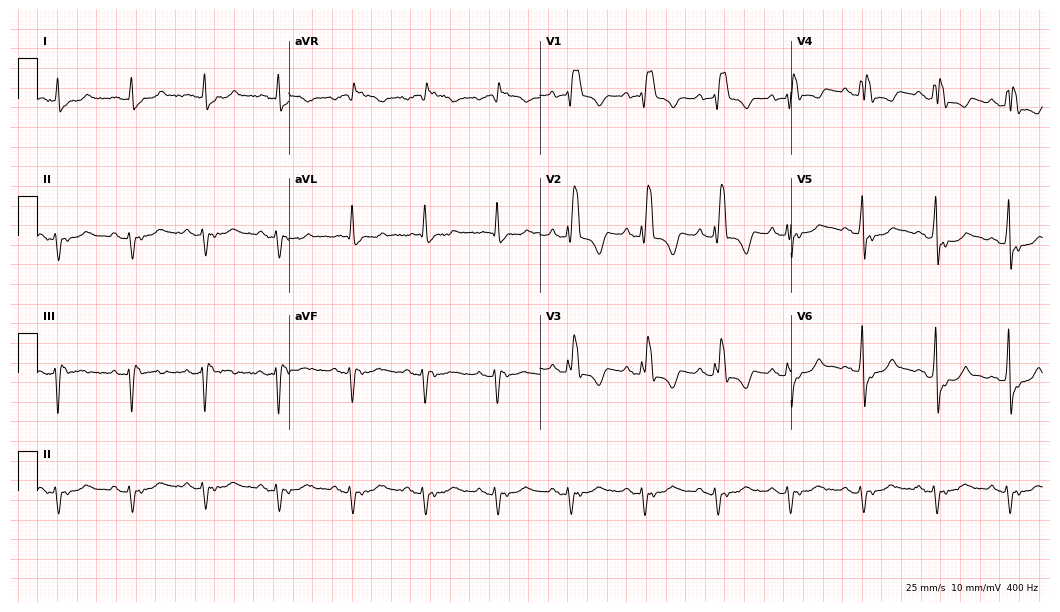
Resting 12-lead electrocardiogram (10.2-second recording at 400 Hz). Patient: a male, 78 years old. The tracing shows right bundle branch block (RBBB).